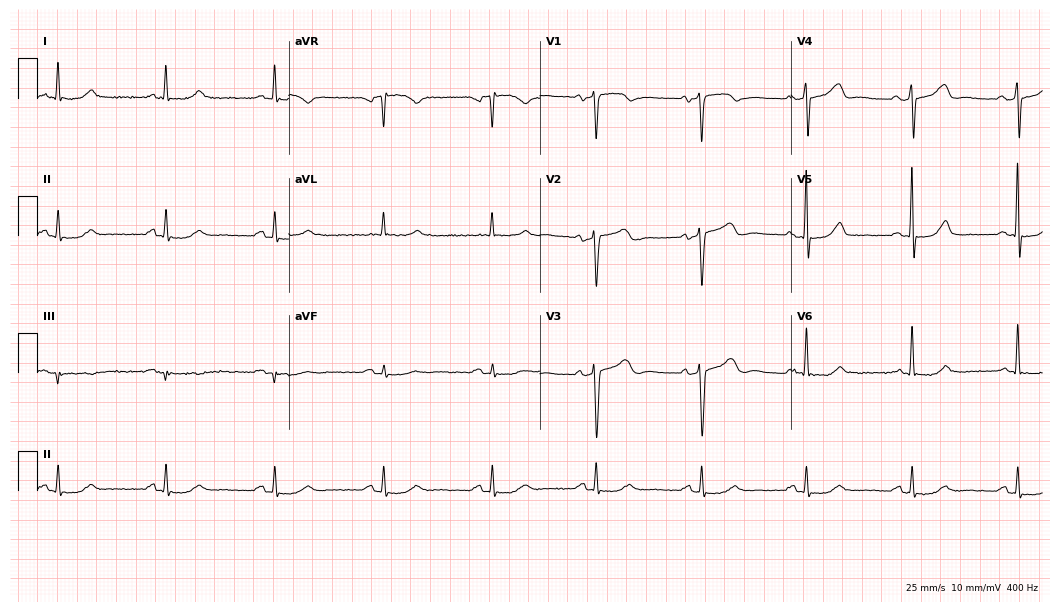
ECG (10.2-second recording at 400 Hz) — a man, 73 years old. Labelled as a normal ECG.